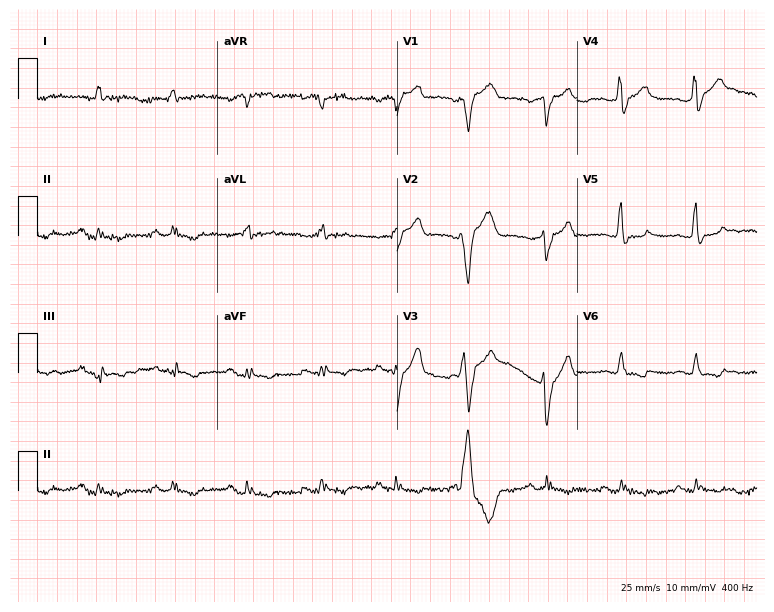
ECG — a female patient, 74 years old. Screened for six findings — first-degree AV block, right bundle branch block (RBBB), left bundle branch block (LBBB), sinus bradycardia, atrial fibrillation (AF), sinus tachycardia — none is recorded.